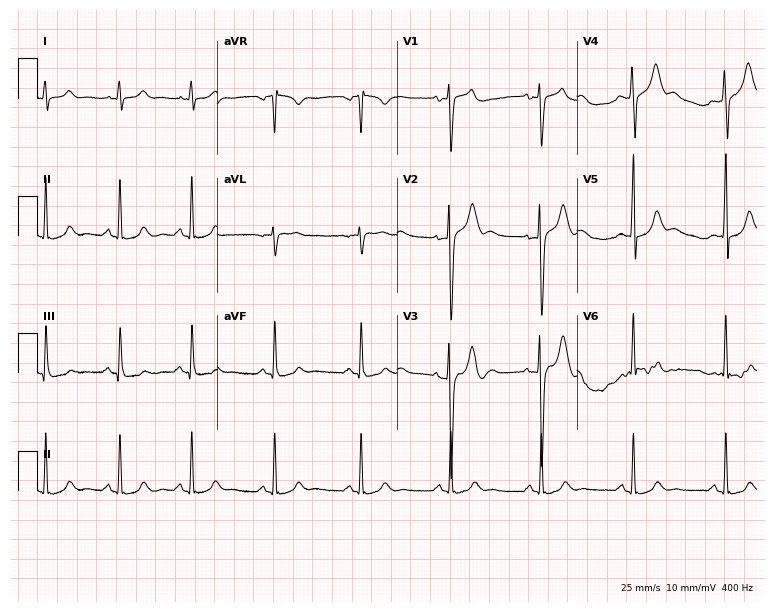
ECG (7.3-second recording at 400 Hz) — a 31-year-old male. Screened for six findings — first-degree AV block, right bundle branch block (RBBB), left bundle branch block (LBBB), sinus bradycardia, atrial fibrillation (AF), sinus tachycardia — none is recorded.